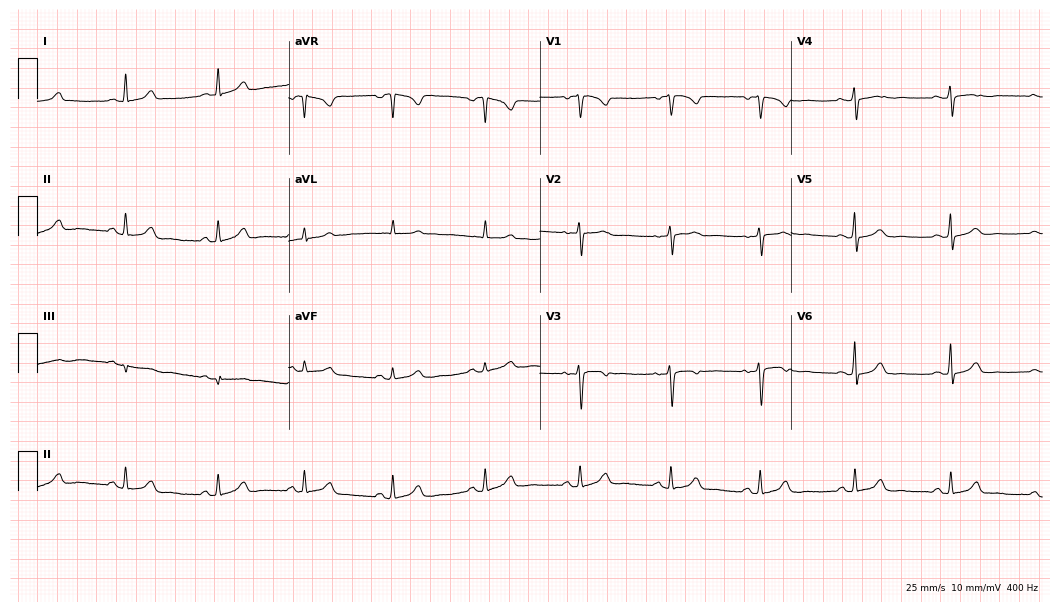
12-lead ECG from a 32-year-old female patient. Screened for six findings — first-degree AV block, right bundle branch block (RBBB), left bundle branch block (LBBB), sinus bradycardia, atrial fibrillation (AF), sinus tachycardia — none is recorded.